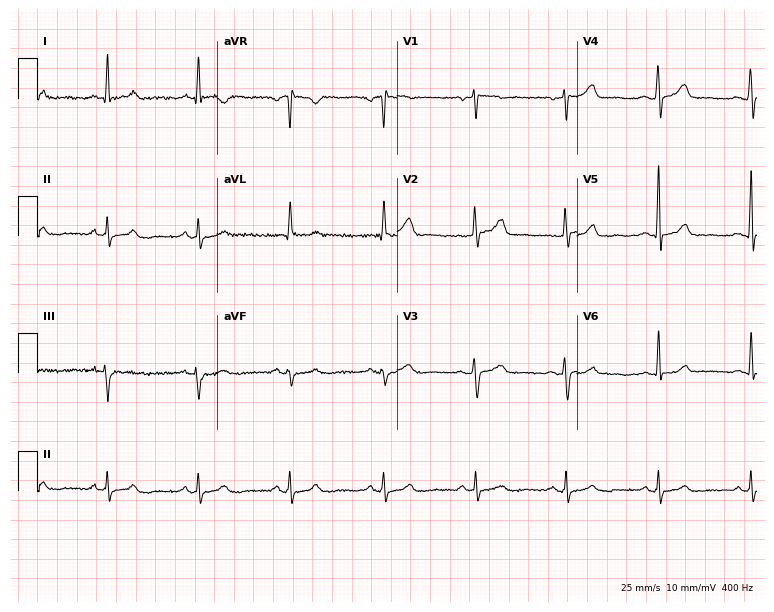
12-lead ECG from a woman, 57 years old (7.3-second recording at 400 Hz). Recorded interpretation: within normal limits.